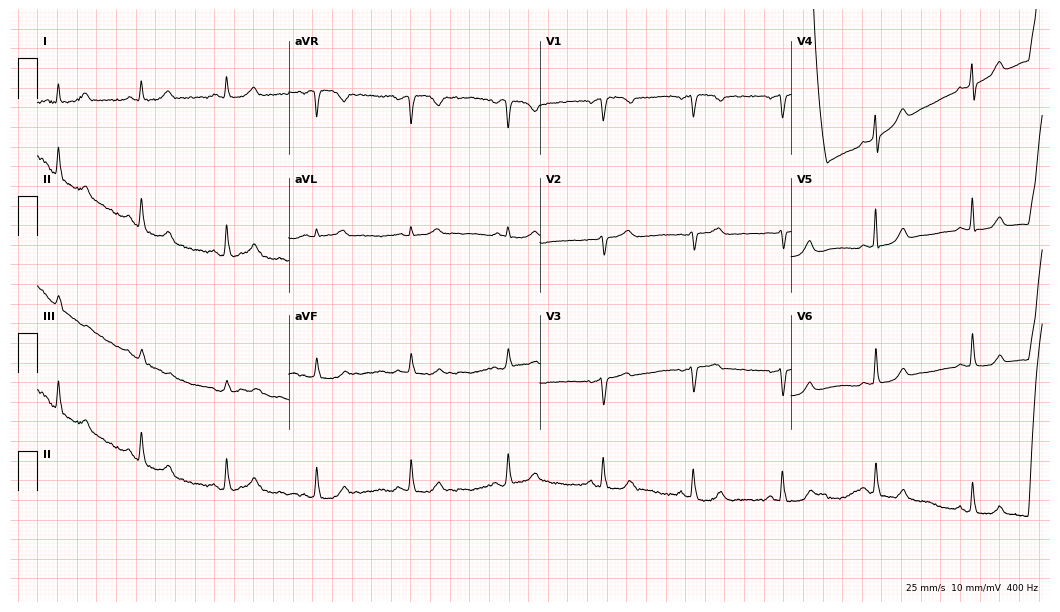
12-lead ECG from a 66-year-old woman (10.2-second recording at 400 Hz). No first-degree AV block, right bundle branch block, left bundle branch block, sinus bradycardia, atrial fibrillation or sinus tachycardia recorded for this tracing.